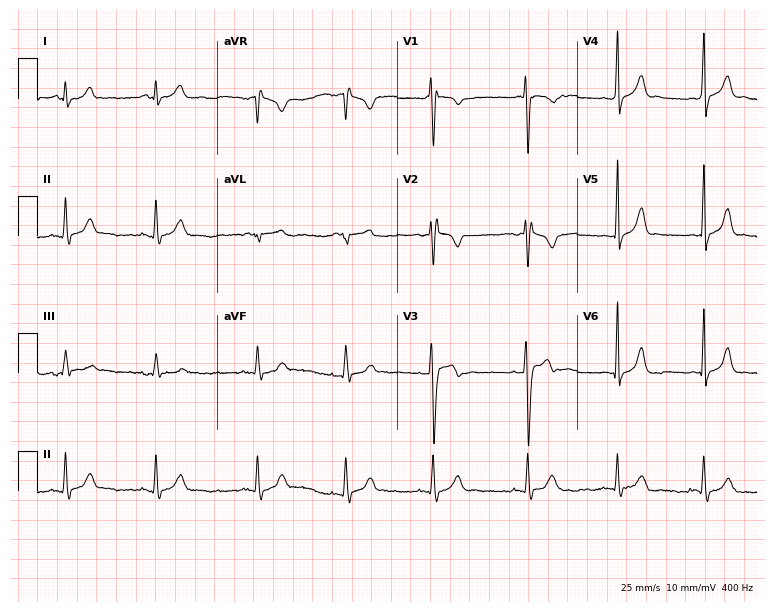
Electrocardiogram, an 18-year-old male patient. Of the six screened findings (first-degree AV block, right bundle branch block (RBBB), left bundle branch block (LBBB), sinus bradycardia, atrial fibrillation (AF), sinus tachycardia), none is recorded. Findings outside these six are not listed.